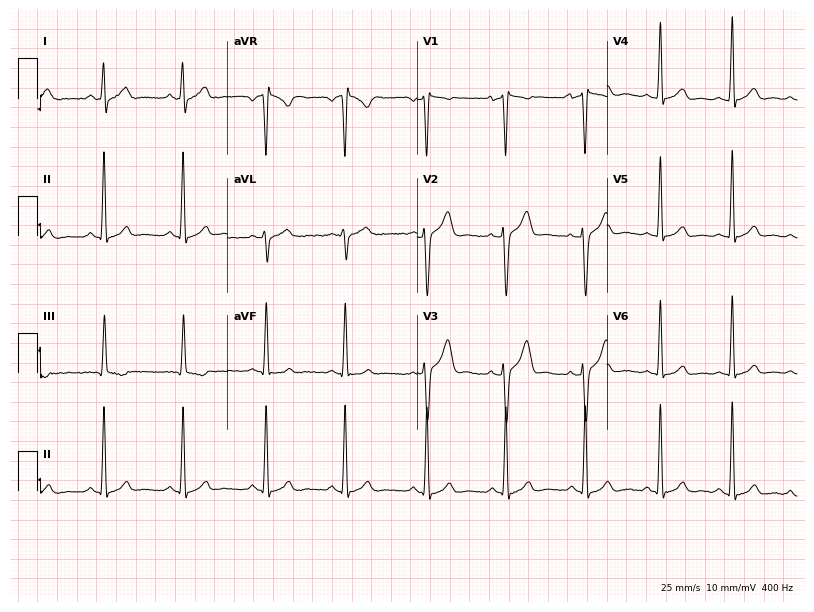
Resting 12-lead electrocardiogram. Patient: a man, 20 years old. None of these six findings is recorded: first-degree AV block, right bundle branch block (RBBB), left bundle branch block (LBBB), sinus bradycardia, atrial fibrillation (AF), sinus tachycardia.